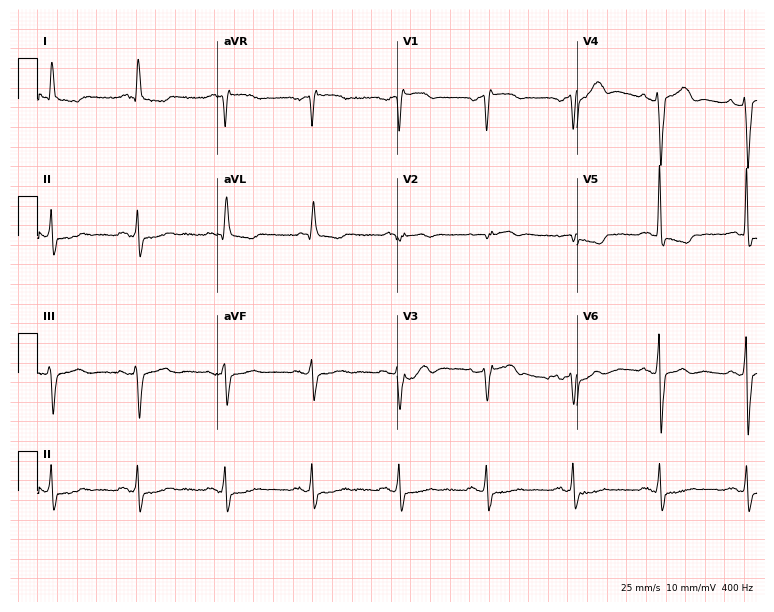
Resting 12-lead electrocardiogram (7.3-second recording at 400 Hz). Patient: a male, 72 years old. None of these six findings is recorded: first-degree AV block, right bundle branch block, left bundle branch block, sinus bradycardia, atrial fibrillation, sinus tachycardia.